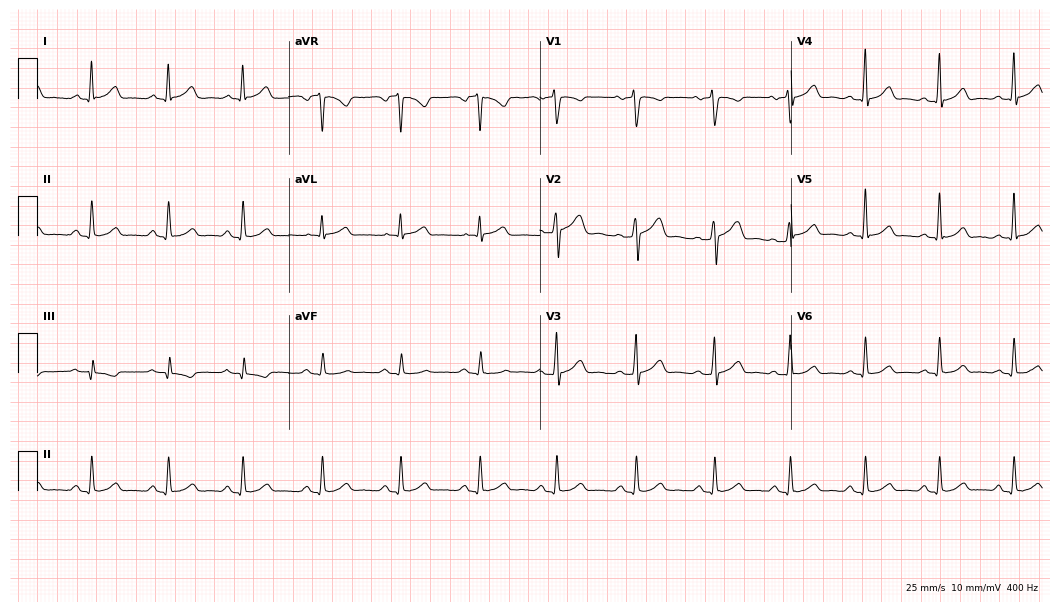
Standard 12-lead ECG recorded from a 44-year-old male patient. Read as a normal ECG.